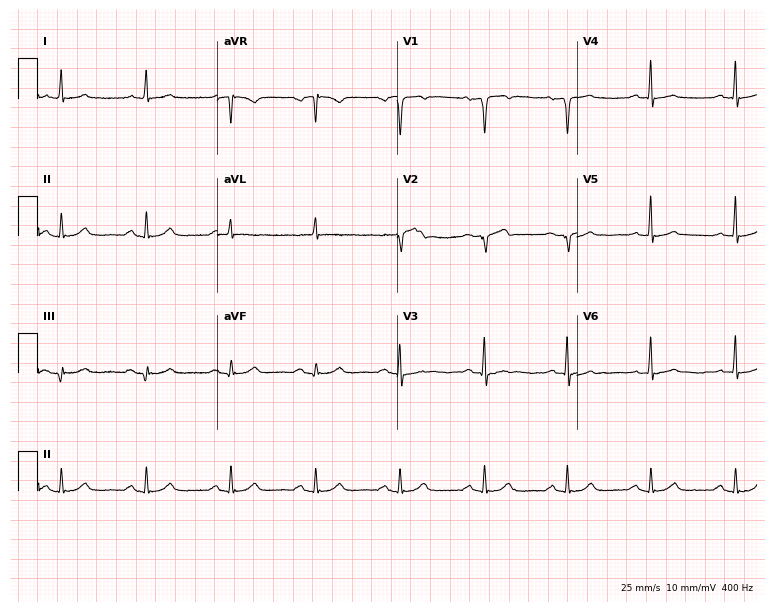
12-lead ECG (7.3-second recording at 400 Hz) from an 82-year-old male. Screened for six findings — first-degree AV block, right bundle branch block, left bundle branch block, sinus bradycardia, atrial fibrillation, sinus tachycardia — none is recorded. Only these six findings were labelled.